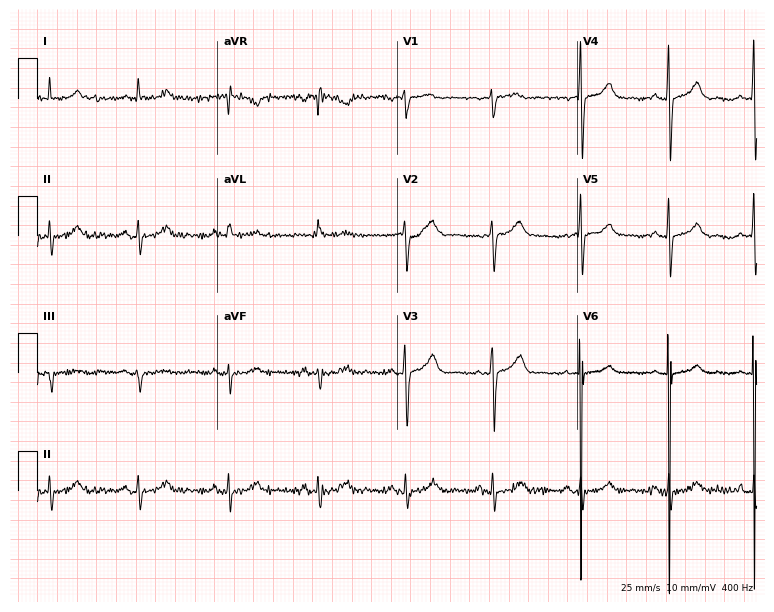
ECG — a 45-year-old woman. Labelled as a normal ECG.